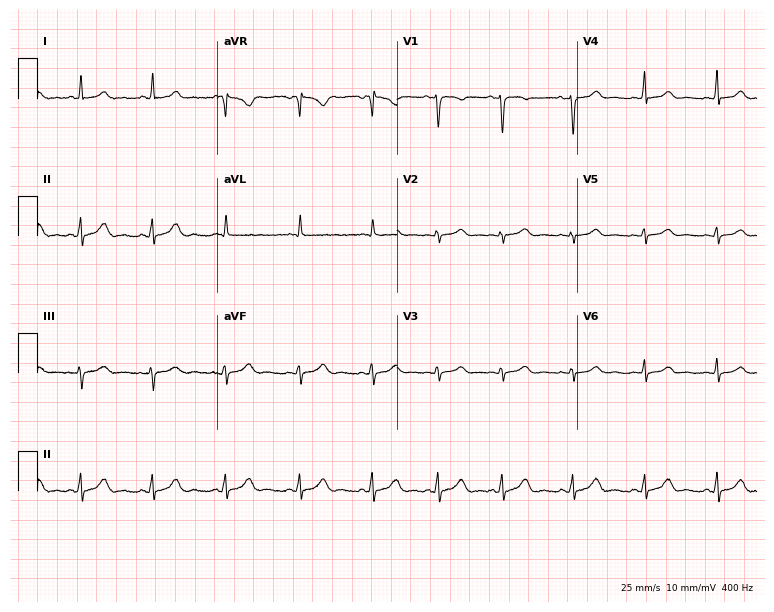
12-lead ECG (7.3-second recording at 400 Hz) from a female, 24 years old. Labelled as a normal ECG.